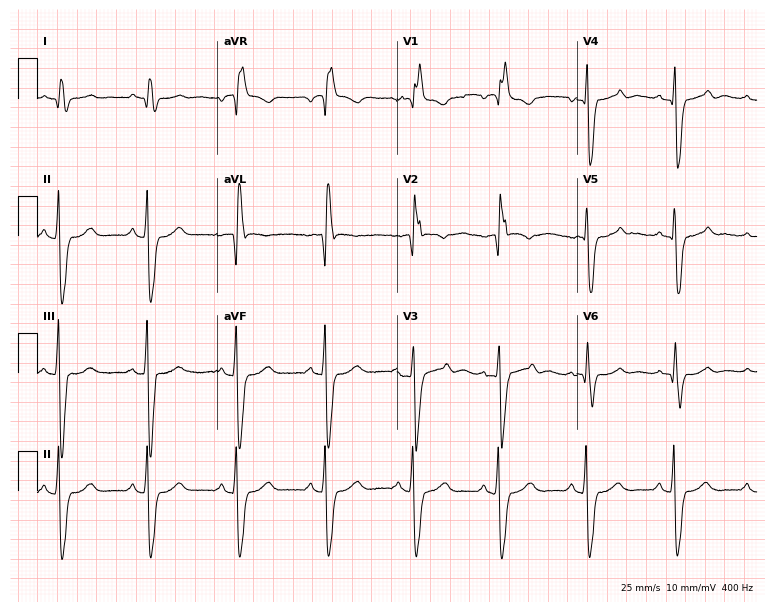
Electrocardiogram (7.3-second recording at 400 Hz), a 73-year-old male patient. Interpretation includes right bundle branch block (RBBB).